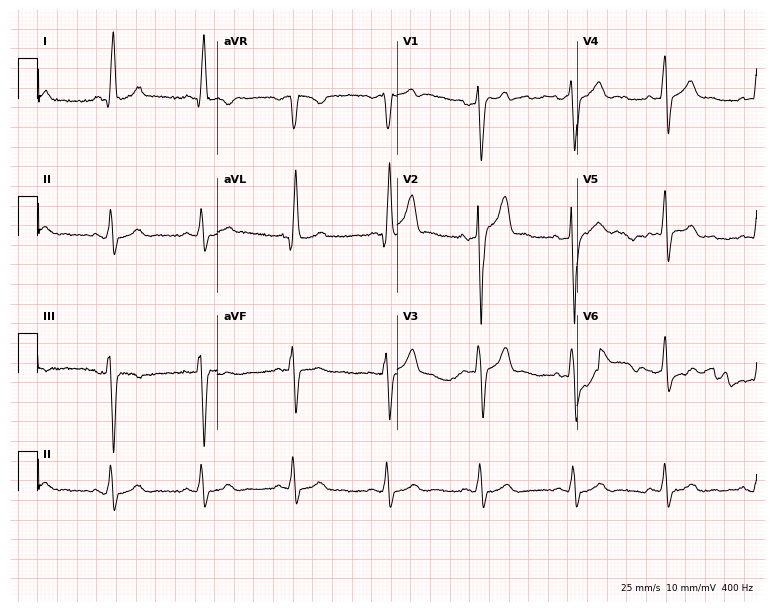
Resting 12-lead electrocardiogram. Patient: a 45-year-old male. None of these six findings is recorded: first-degree AV block, right bundle branch block, left bundle branch block, sinus bradycardia, atrial fibrillation, sinus tachycardia.